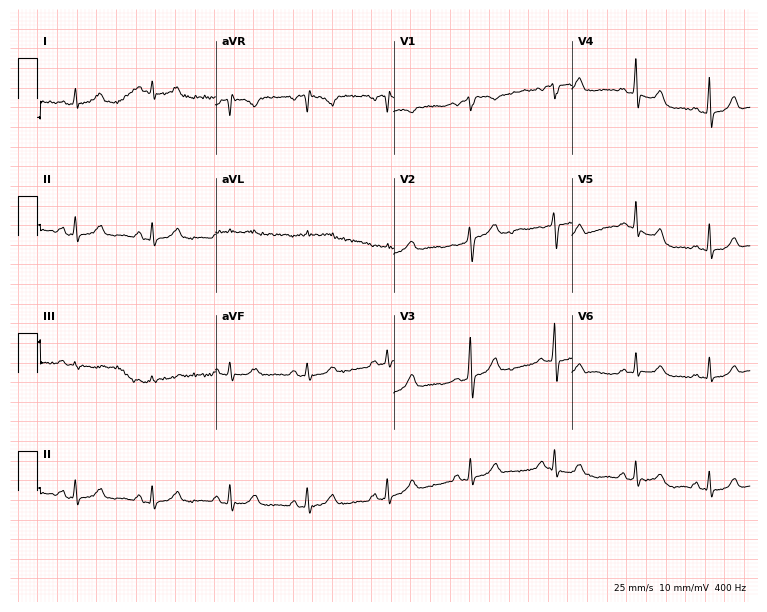
ECG (7.3-second recording at 400 Hz) — a woman, 37 years old. Labelled as a normal ECG.